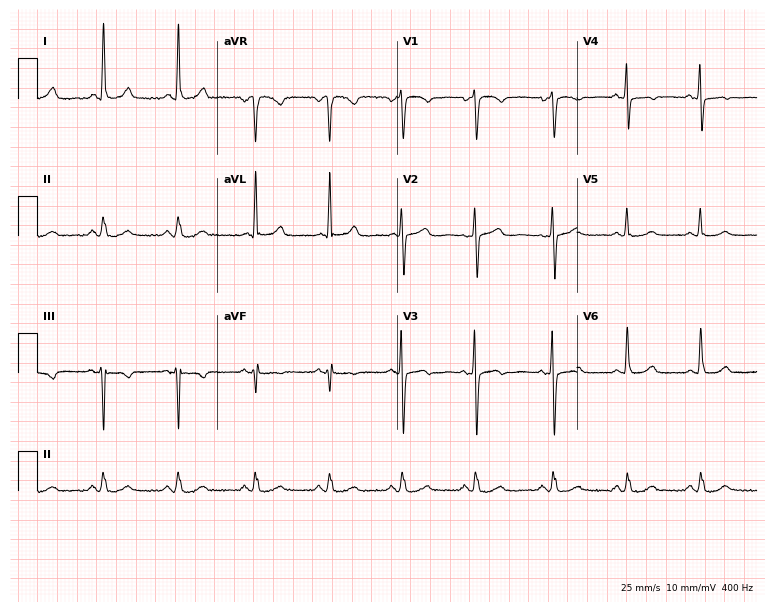
Standard 12-lead ECG recorded from a female, 60 years old (7.3-second recording at 400 Hz). None of these six findings is recorded: first-degree AV block, right bundle branch block, left bundle branch block, sinus bradycardia, atrial fibrillation, sinus tachycardia.